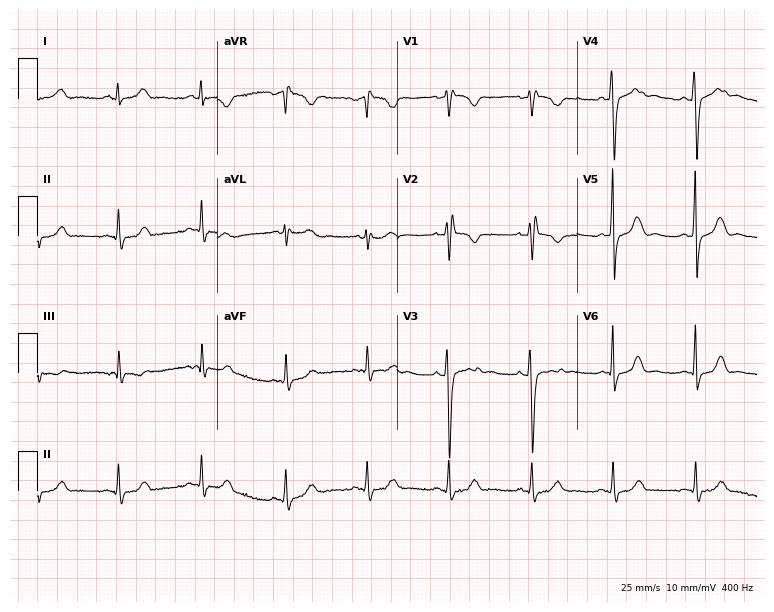
Resting 12-lead electrocardiogram. Patient: a 30-year-old female. None of these six findings is recorded: first-degree AV block, right bundle branch block, left bundle branch block, sinus bradycardia, atrial fibrillation, sinus tachycardia. Other findings, if any, are not listed.